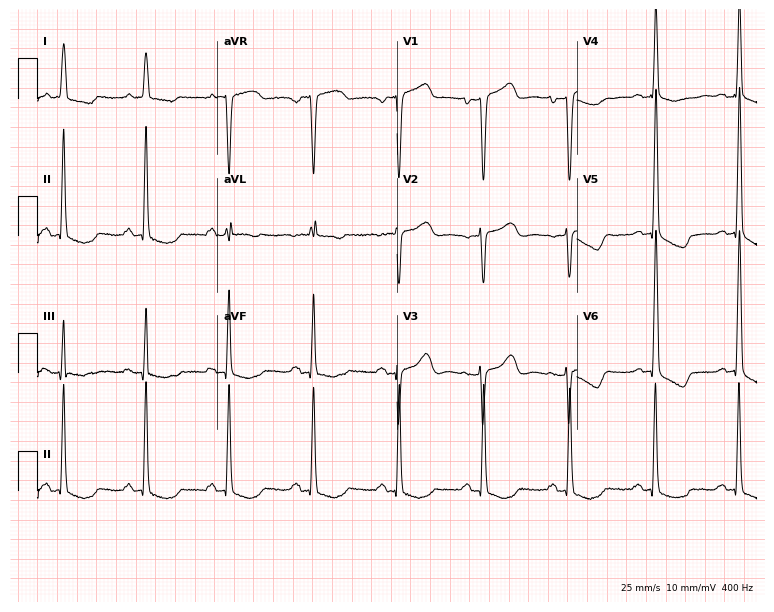
12-lead ECG from a female, 80 years old. Screened for six findings — first-degree AV block, right bundle branch block, left bundle branch block, sinus bradycardia, atrial fibrillation, sinus tachycardia — none is recorded.